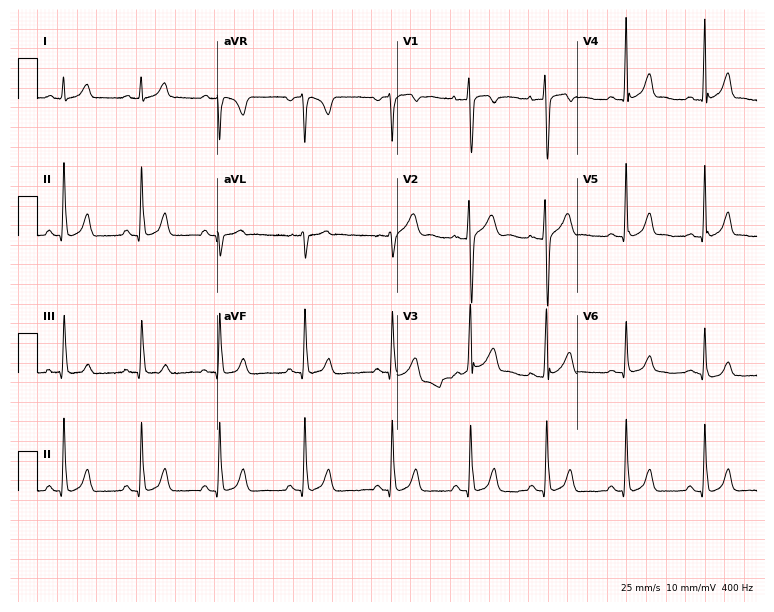
Electrocardiogram, a male patient, 17 years old. Of the six screened findings (first-degree AV block, right bundle branch block (RBBB), left bundle branch block (LBBB), sinus bradycardia, atrial fibrillation (AF), sinus tachycardia), none is recorded. Only these six findings were labelled.